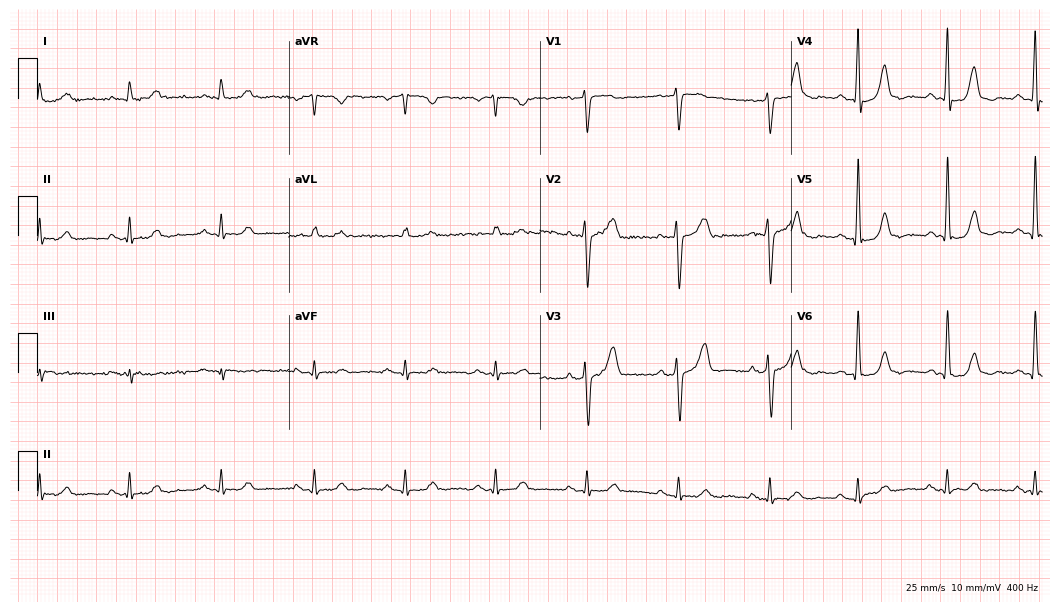
Standard 12-lead ECG recorded from a man, 77 years old. None of these six findings is recorded: first-degree AV block, right bundle branch block, left bundle branch block, sinus bradycardia, atrial fibrillation, sinus tachycardia. Only these six findings were labelled.